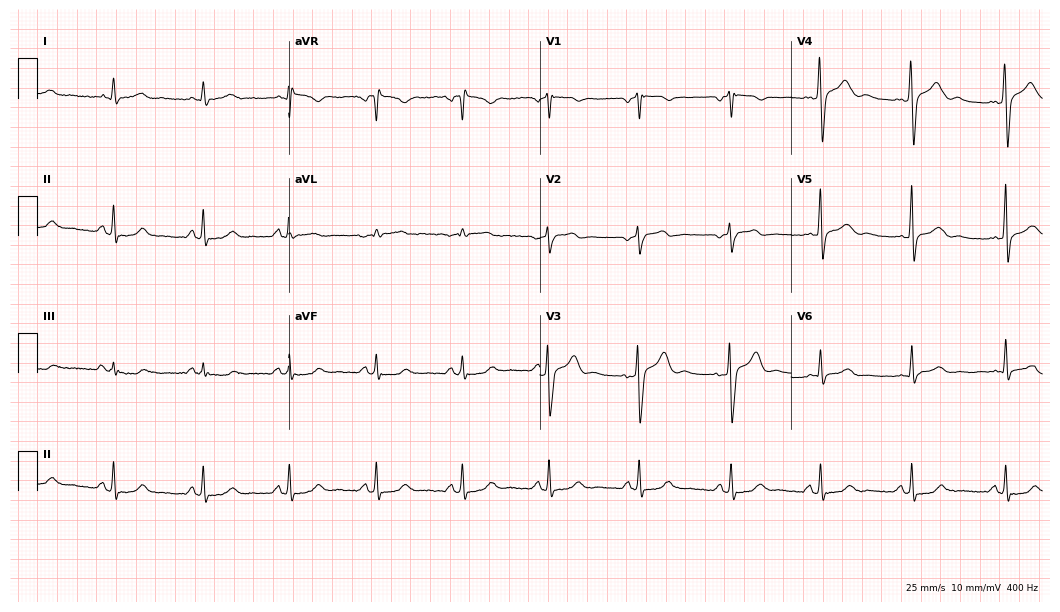
Resting 12-lead electrocardiogram (10.2-second recording at 400 Hz). Patient: a 54-year-old male. None of these six findings is recorded: first-degree AV block, right bundle branch block (RBBB), left bundle branch block (LBBB), sinus bradycardia, atrial fibrillation (AF), sinus tachycardia.